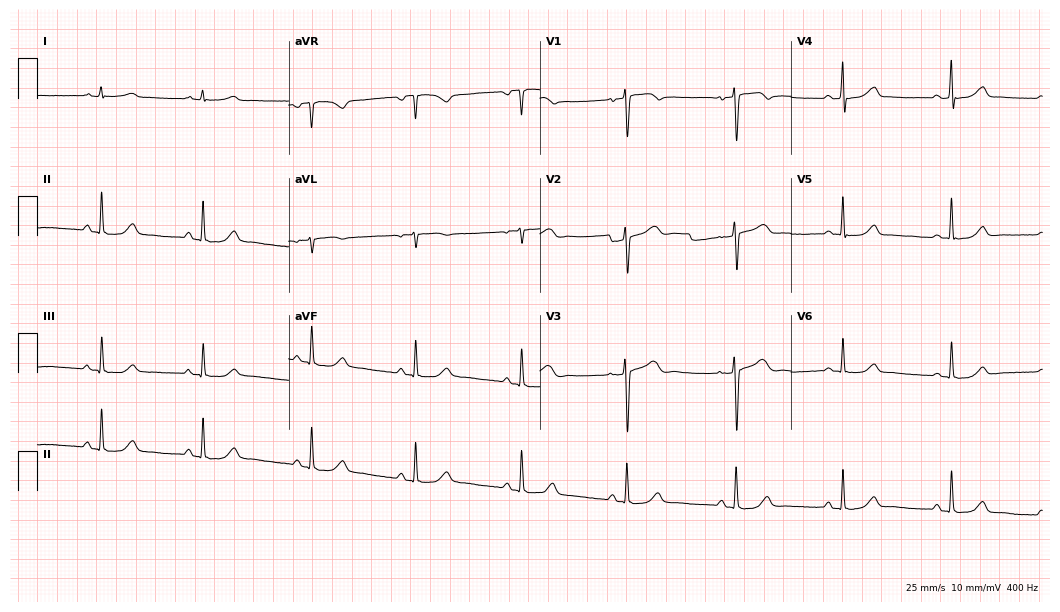
Electrocardiogram (10.2-second recording at 400 Hz), a female patient, 52 years old. Overall reading on record: normal ECG.